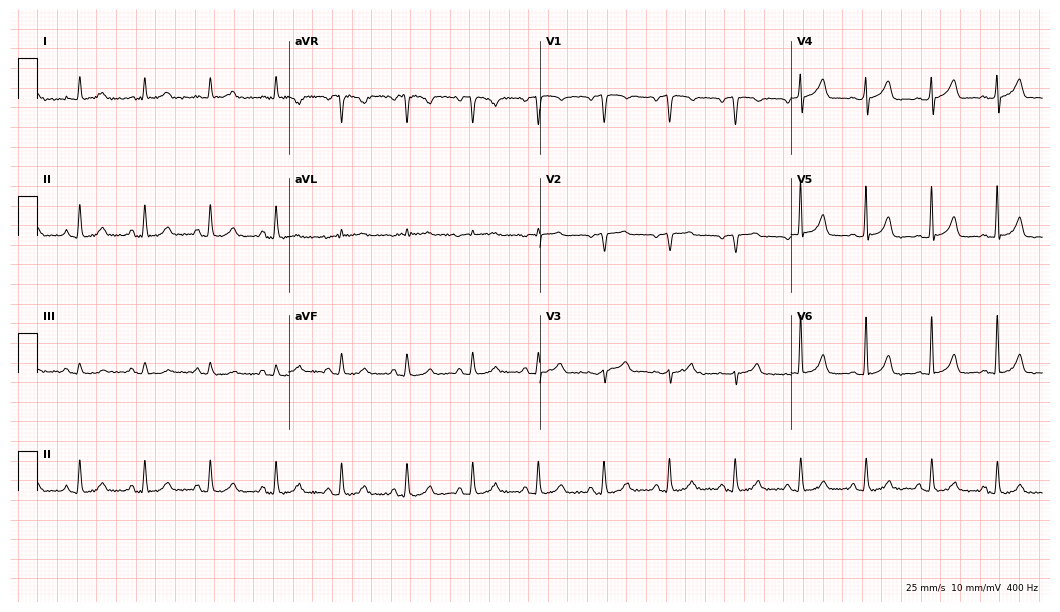
ECG — a male, 74 years old. Labelled as a normal ECG.